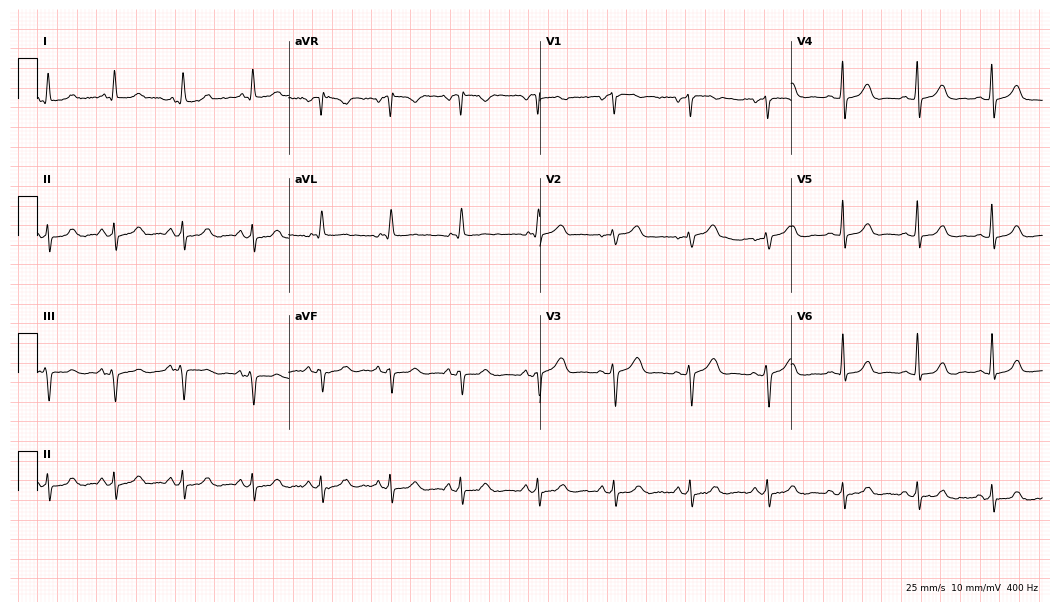
12-lead ECG from a female patient, 52 years old. Recorded interpretation: within normal limits.